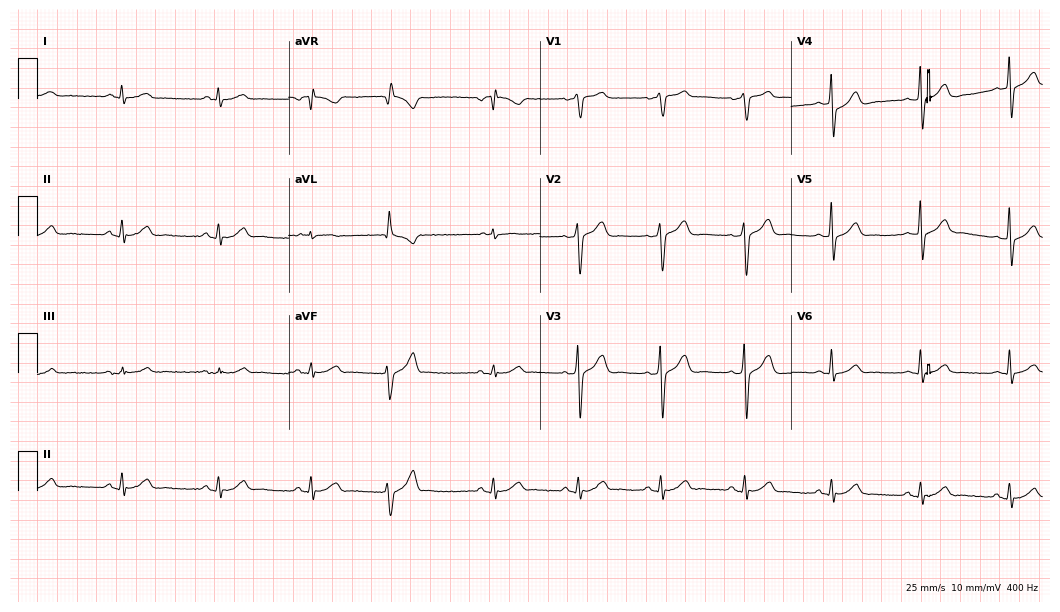
ECG (10.2-second recording at 400 Hz) — a 57-year-old man. Screened for six findings — first-degree AV block, right bundle branch block, left bundle branch block, sinus bradycardia, atrial fibrillation, sinus tachycardia — none is recorded. Only these six findings were labelled.